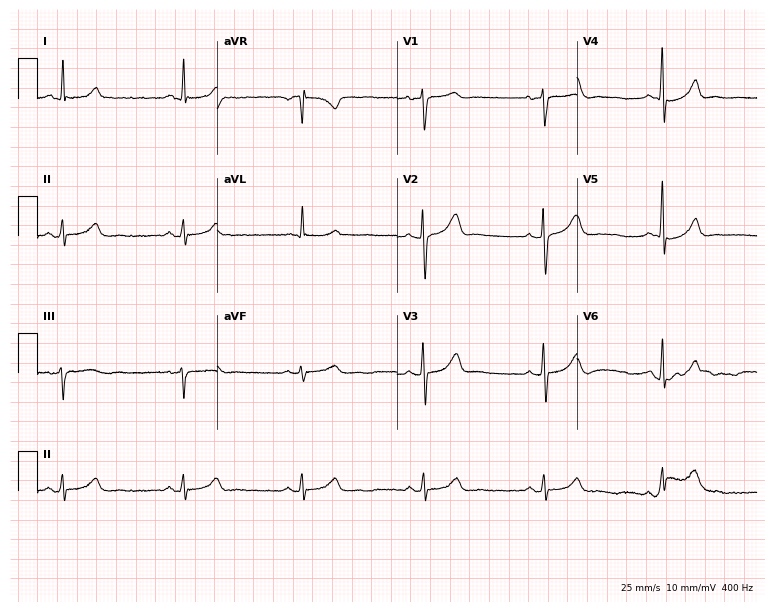
12-lead ECG from a 54-year-old female patient (7.3-second recording at 400 Hz). No first-degree AV block, right bundle branch block, left bundle branch block, sinus bradycardia, atrial fibrillation or sinus tachycardia recorded for this tracing.